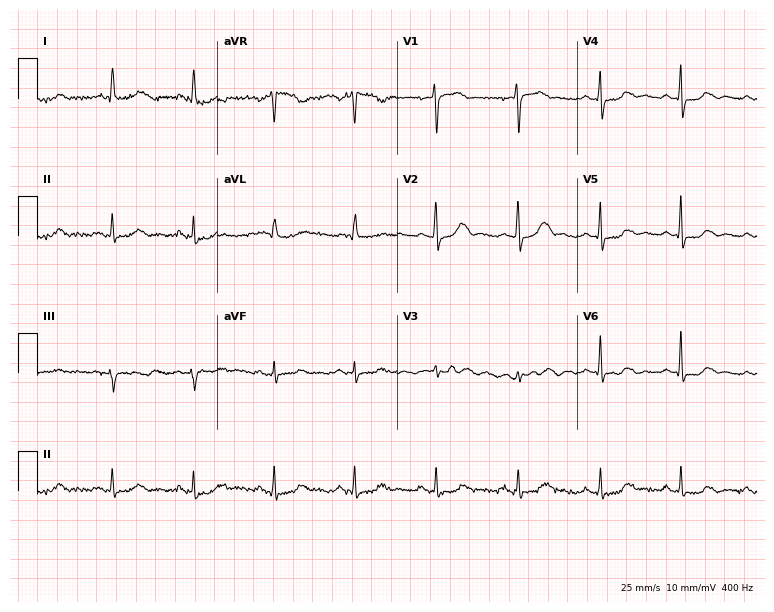
12-lead ECG from a 77-year-old female patient (7.3-second recording at 400 Hz). No first-degree AV block, right bundle branch block, left bundle branch block, sinus bradycardia, atrial fibrillation or sinus tachycardia recorded for this tracing.